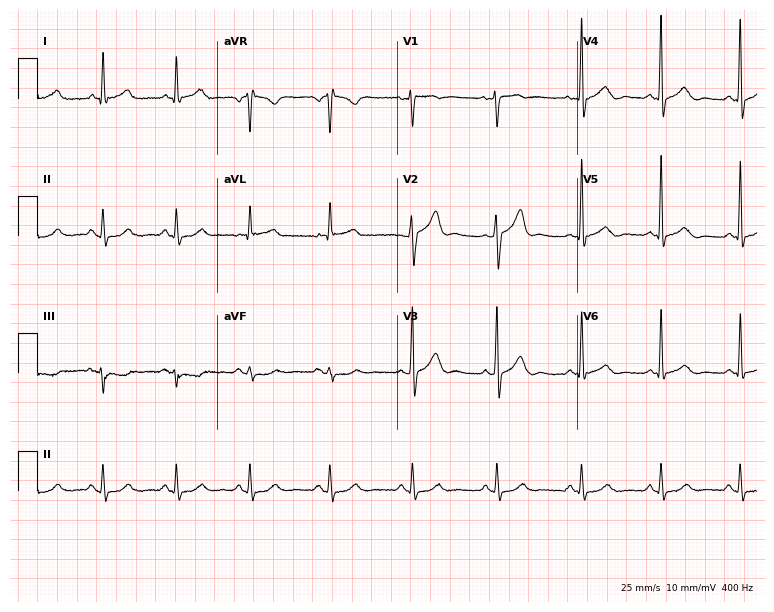
12-lead ECG from a 61-year-old male patient. Recorded interpretation: within normal limits.